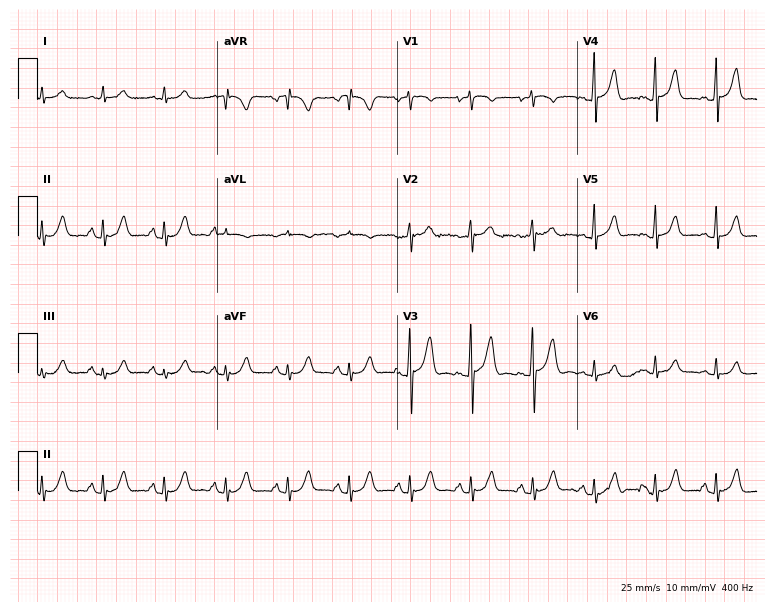
12-lead ECG from a 64-year-old man (7.3-second recording at 400 Hz). No first-degree AV block, right bundle branch block (RBBB), left bundle branch block (LBBB), sinus bradycardia, atrial fibrillation (AF) or sinus tachycardia recorded for this tracing. Other findings, if any, are not listed.